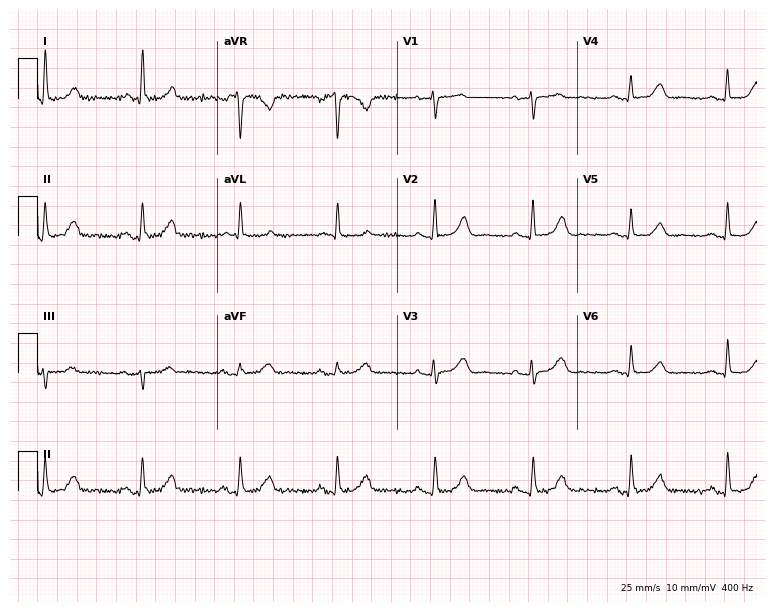
Resting 12-lead electrocardiogram (7.3-second recording at 400 Hz). Patient: a female, 70 years old. None of these six findings is recorded: first-degree AV block, right bundle branch block, left bundle branch block, sinus bradycardia, atrial fibrillation, sinus tachycardia. Other findings, if any, are not listed.